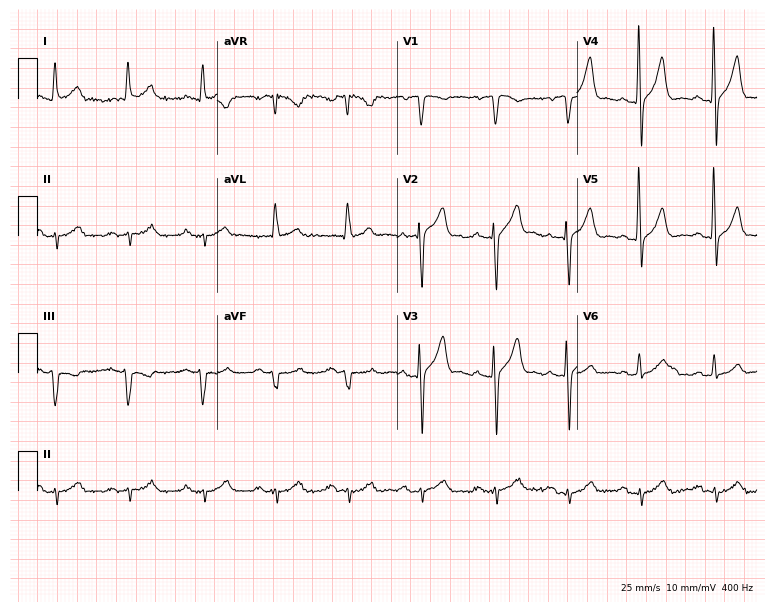
ECG (7.3-second recording at 400 Hz) — a male, 69 years old. Screened for six findings — first-degree AV block, right bundle branch block, left bundle branch block, sinus bradycardia, atrial fibrillation, sinus tachycardia — none is recorded. Other findings, if any, are not listed.